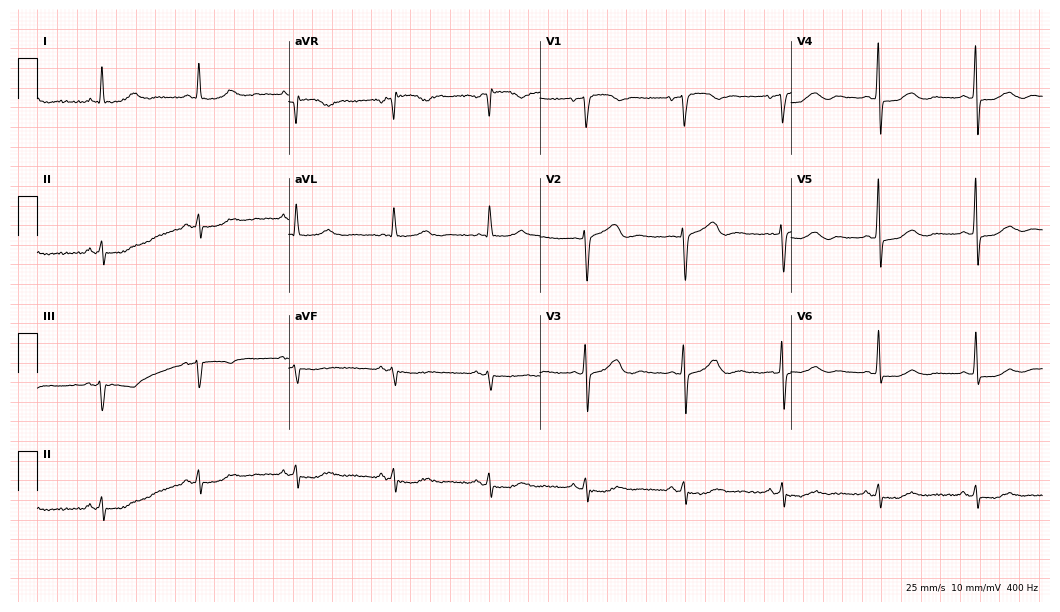
ECG (10.2-second recording at 400 Hz) — an 85-year-old woman. Screened for six findings — first-degree AV block, right bundle branch block, left bundle branch block, sinus bradycardia, atrial fibrillation, sinus tachycardia — none is recorded.